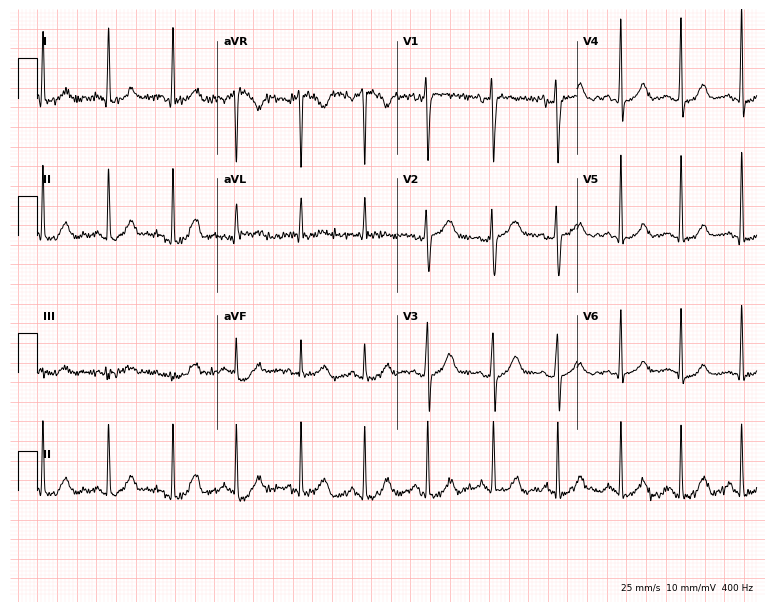
12-lead ECG (7.3-second recording at 400 Hz) from a female patient, 38 years old. Labelled as a normal ECG.